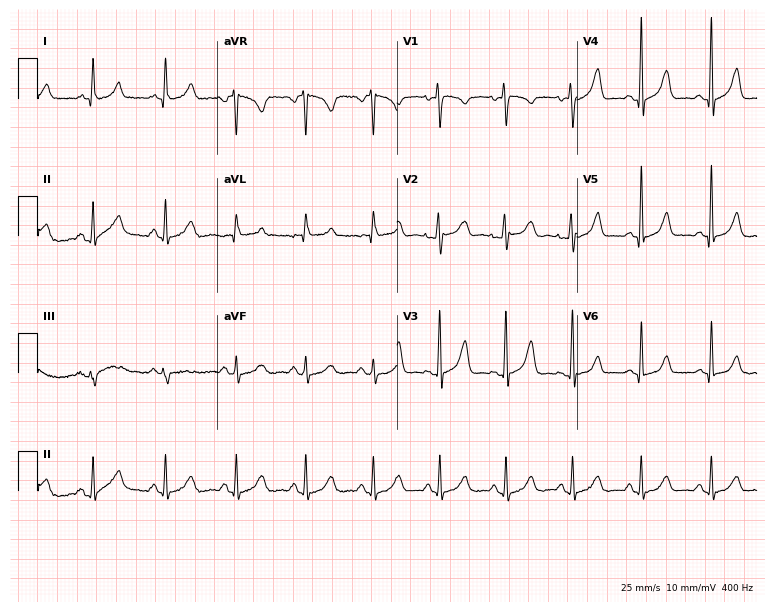
ECG — a 41-year-old woman. Screened for six findings — first-degree AV block, right bundle branch block, left bundle branch block, sinus bradycardia, atrial fibrillation, sinus tachycardia — none is recorded. Findings outside these six are not listed.